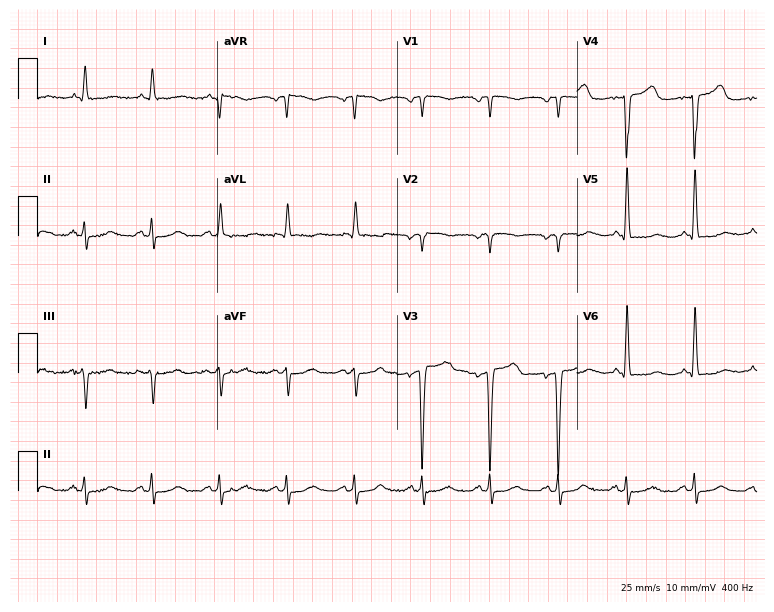
ECG (7.3-second recording at 400 Hz) — a man, 61 years old. Screened for six findings — first-degree AV block, right bundle branch block, left bundle branch block, sinus bradycardia, atrial fibrillation, sinus tachycardia — none is recorded.